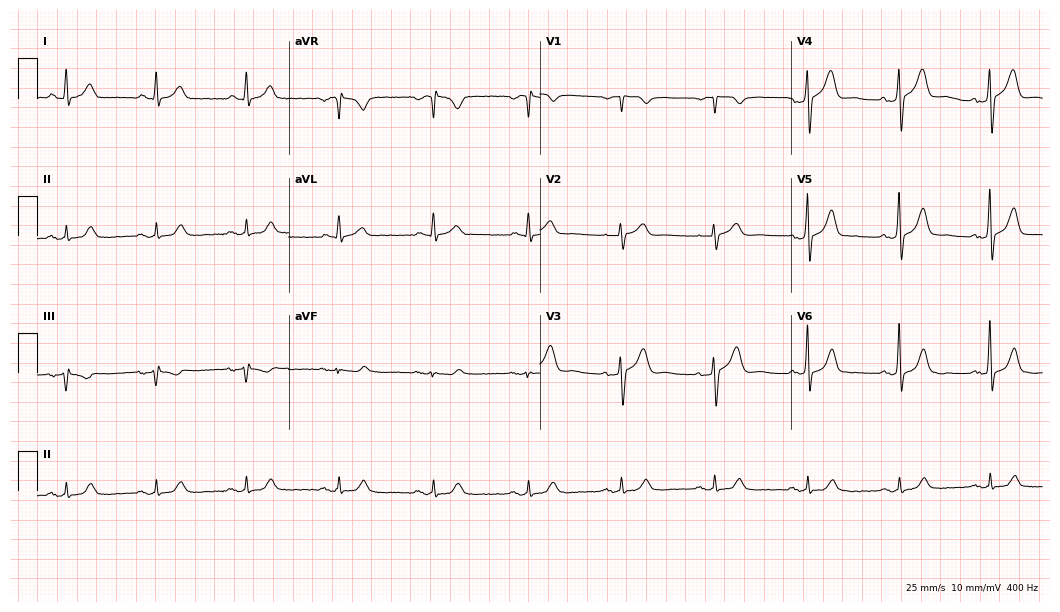
12-lead ECG from a 64-year-old male (10.2-second recording at 400 Hz). No first-degree AV block, right bundle branch block (RBBB), left bundle branch block (LBBB), sinus bradycardia, atrial fibrillation (AF) or sinus tachycardia recorded for this tracing. Findings outside these six are not listed.